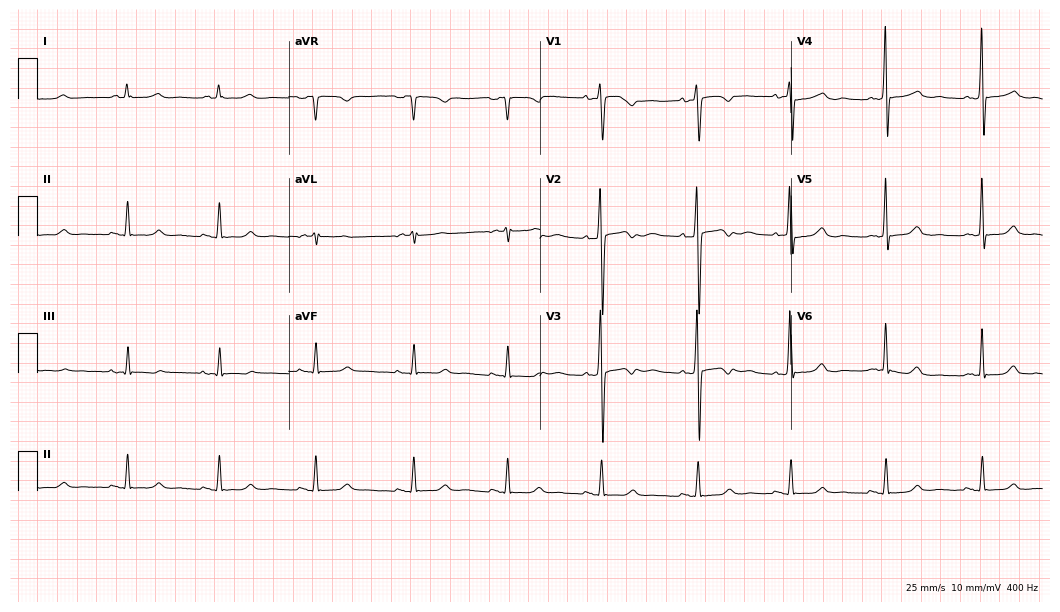
12-lead ECG from a 38-year-old female patient (10.2-second recording at 400 Hz). No first-degree AV block, right bundle branch block, left bundle branch block, sinus bradycardia, atrial fibrillation or sinus tachycardia recorded for this tracing.